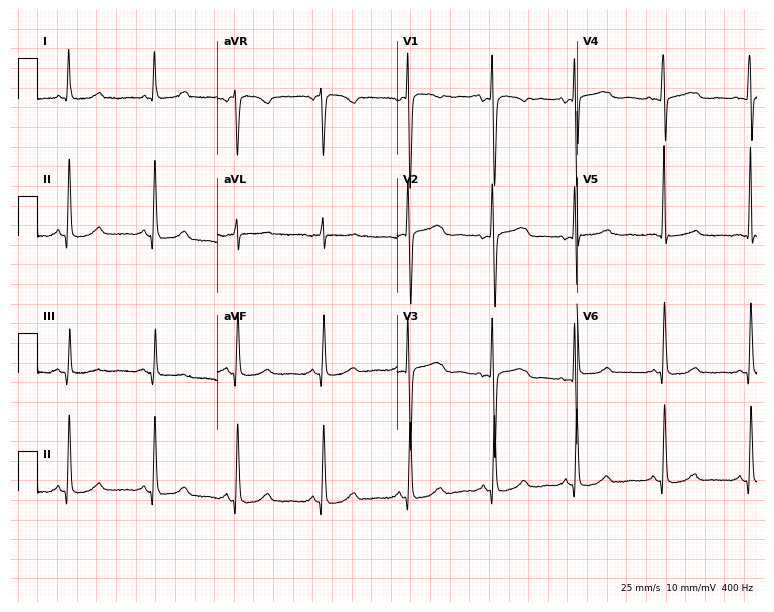
Standard 12-lead ECG recorded from a 52-year-old woman. Read as a normal ECG.